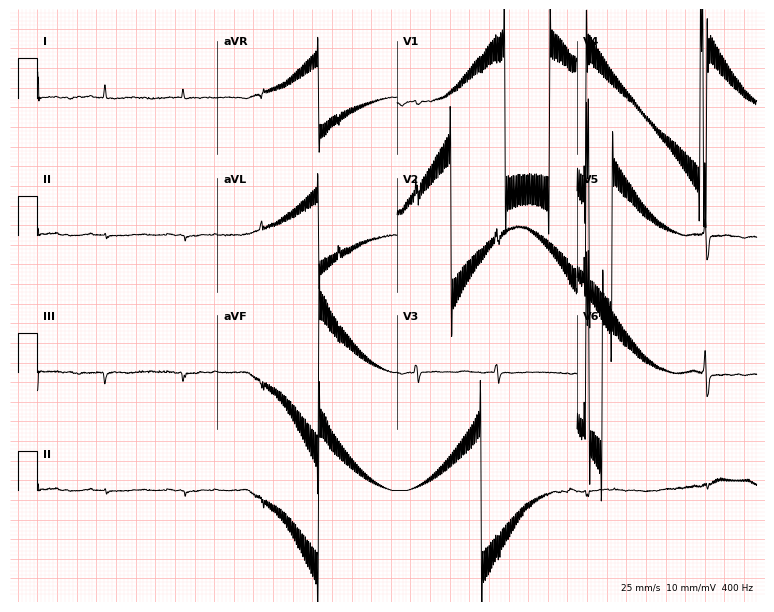
12-lead ECG from a male patient, 84 years old. No first-degree AV block, right bundle branch block, left bundle branch block, sinus bradycardia, atrial fibrillation or sinus tachycardia recorded for this tracing.